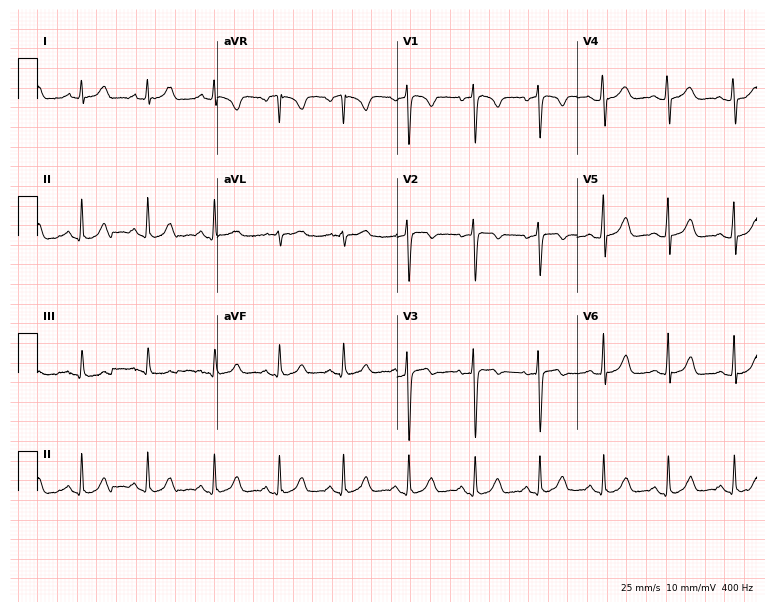
Standard 12-lead ECG recorded from a 32-year-old woman. None of these six findings is recorded: first-degree AV block, right bundle branch block (RBBB), left bundle branch block (LBBB), sinus bradycardia, atrial fibrillation (AF), sinus tachycardia.